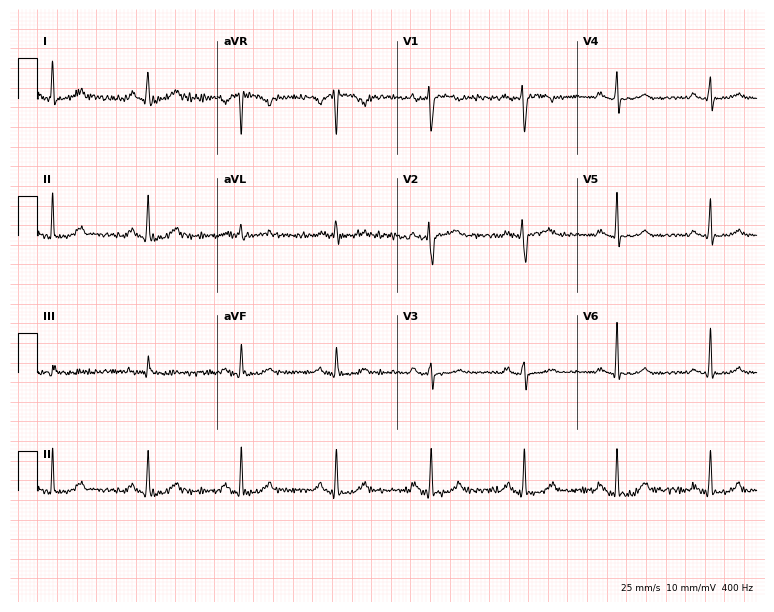
Standard 12-lead ECG recorded from a 51-year-old female (7.3-second recording at 400 Hz). None of these six findings is recorded: first-degree AV block, right bundle branch block, left bundle branch block, sinus bradycardia, atrial fibrillation, sinus tachycardia. Only these six findings were labelled.